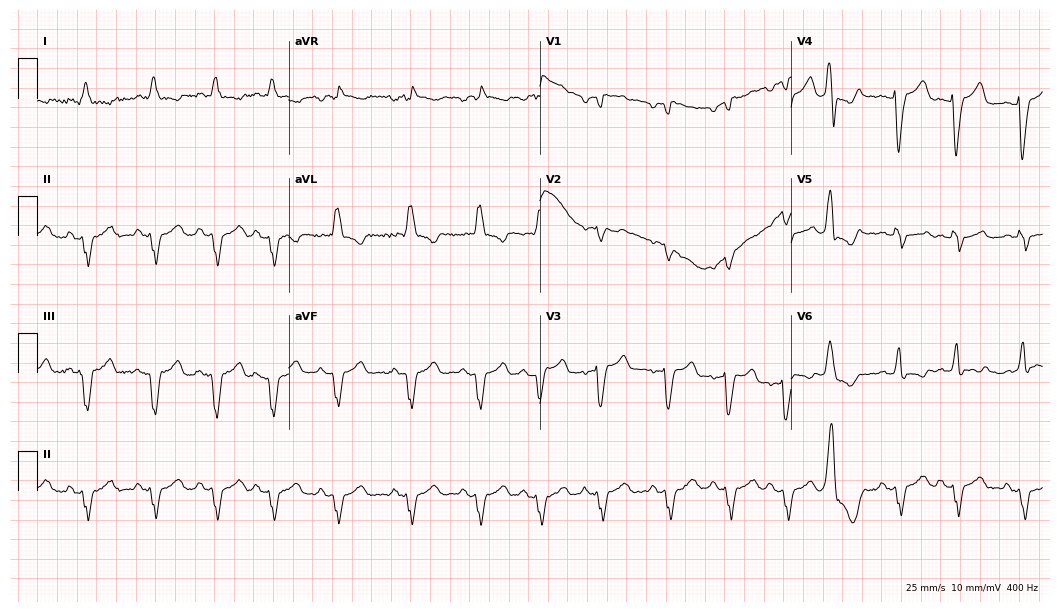
ECG (10.2-second recording at 400 Hz) — a female patient, 73 years old. Findings include left bundle branch block (LBBB).